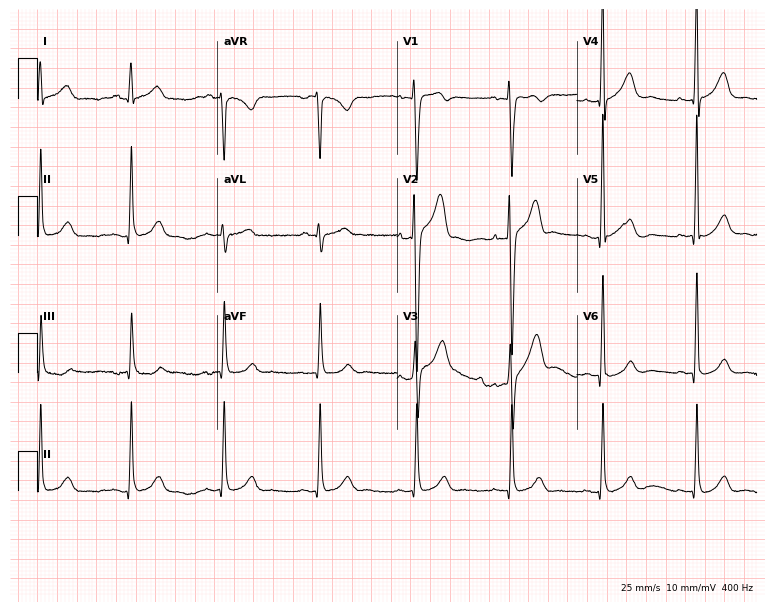
12-lead ECG from a 40-year-old man (7.3-second recording at 400 Hz). Recorded interpretation: within normal limits.